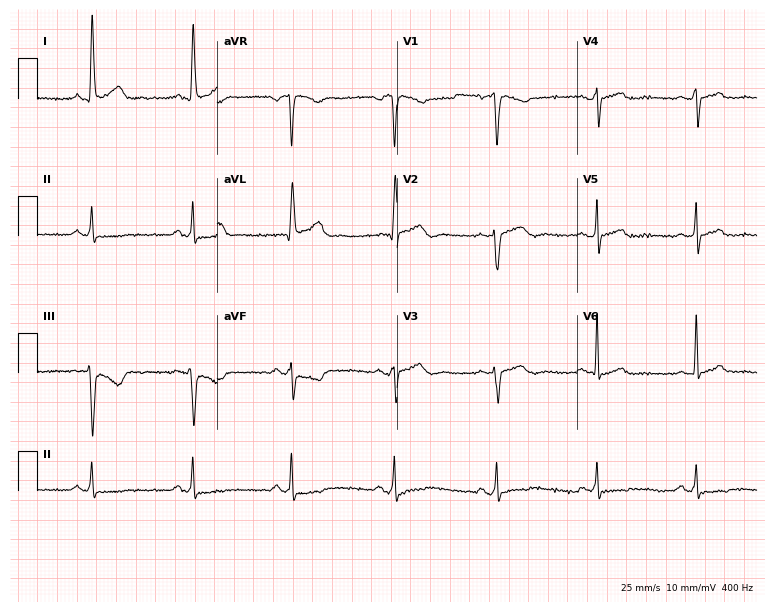
Standard 12-lead ECG recorded from a man, 64 years old. None of these six findings is recorded: first-degree AV block, right bundle branch block, left bundle branch block, sinus bradycardia, atrial fibrillation, sinus tachycardia. Only these six findings were labelled.